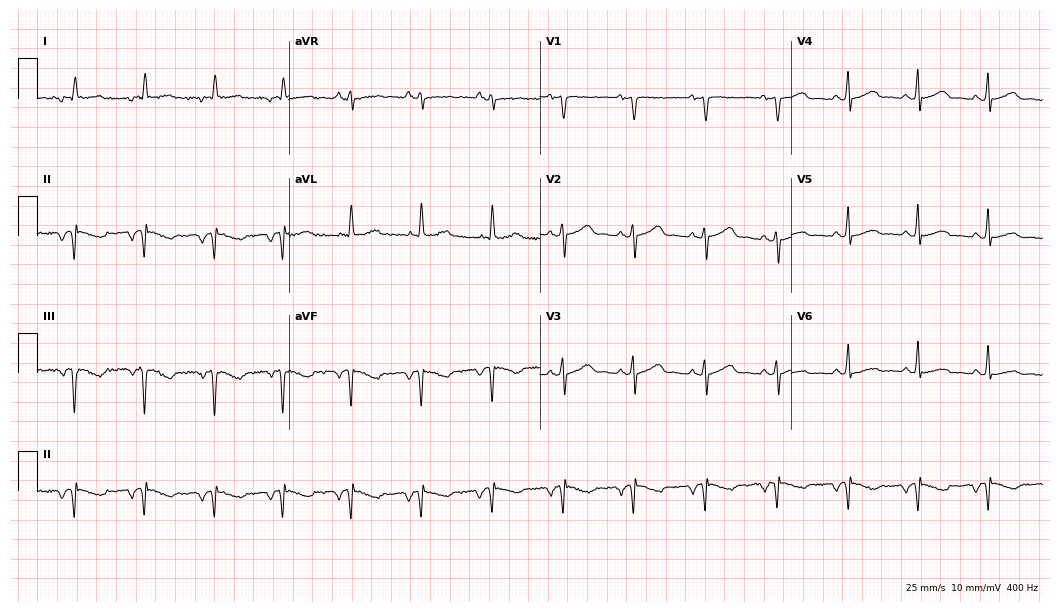
Resting 12-lead electrocardiogram. Patient: a 58-year-old woman. None of these six findings is recorded: first-degree AV block, right bundle branch block, left bundle branch block, sinus bradycardia, atrial fibrillation, sinus tachycardia.